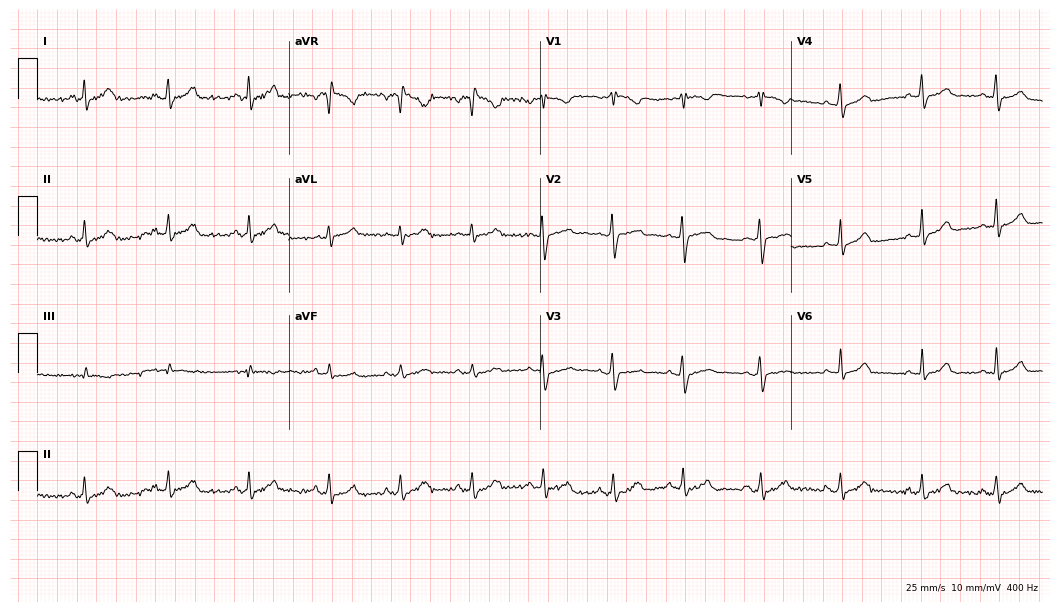
Standard 12-lead ECG recorded from a female, 28 years old. None of these six findings is recorded: first-degree AV block, right bundle branch block (RBBB), left bundle branch block (LBBB), sinus bradycardia, atrial fibrillation (AF), sinus tachycardia. Findings outside these six are not listed.